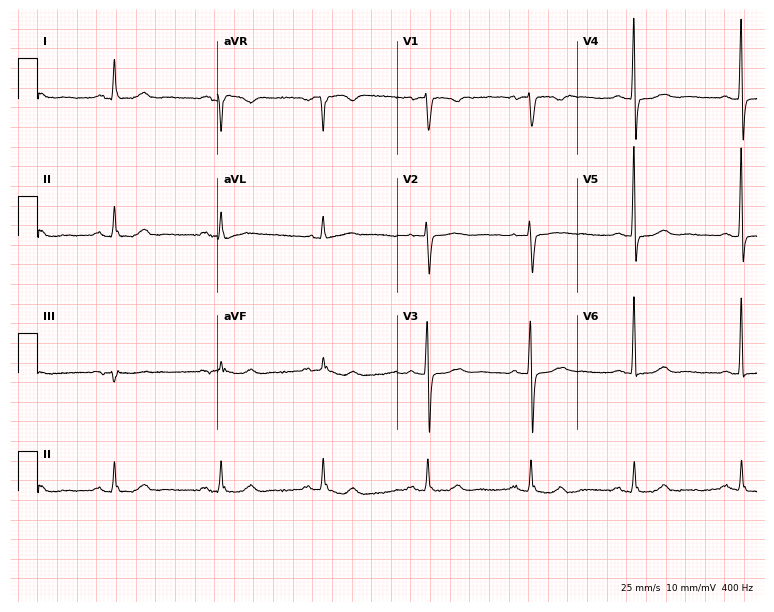
Standard 12-lead ECG recorded from a female patient, 66 years old (7.3-second recording at 400 Hz). Read as a normal ECG.